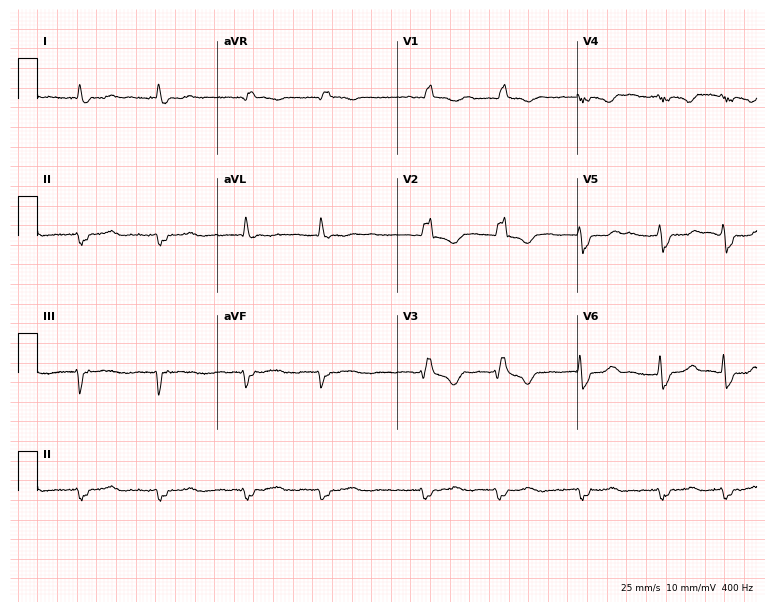
12-lead ECG from a male, 84 years old (7.3-second recording at 400 Hz). No first-degree AV block, right bundle branch block, left bundle branch block, sinus bradycardia, atrial fibrillation or sinus tachycardia recorded for this tracing.